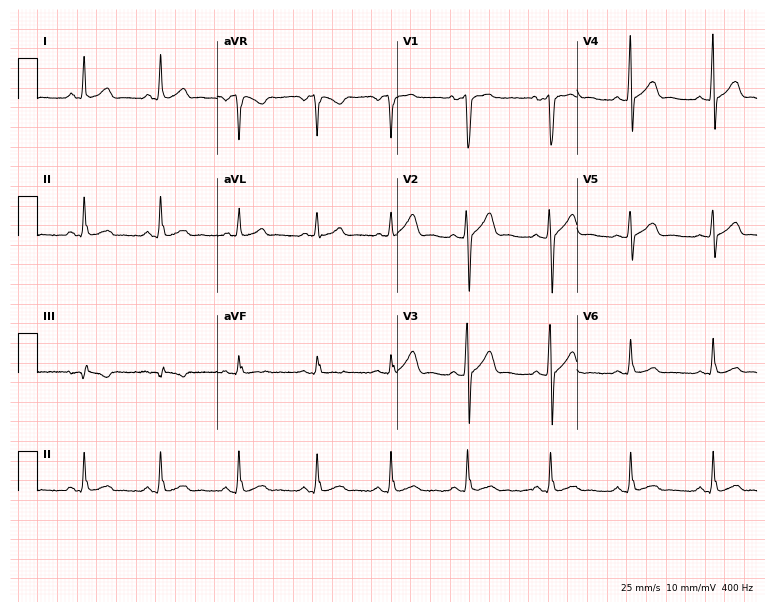
12-lead ECG (7.3-second recording at 400 Hz) from a male, 25 years old. Labelled as a normal ECG.